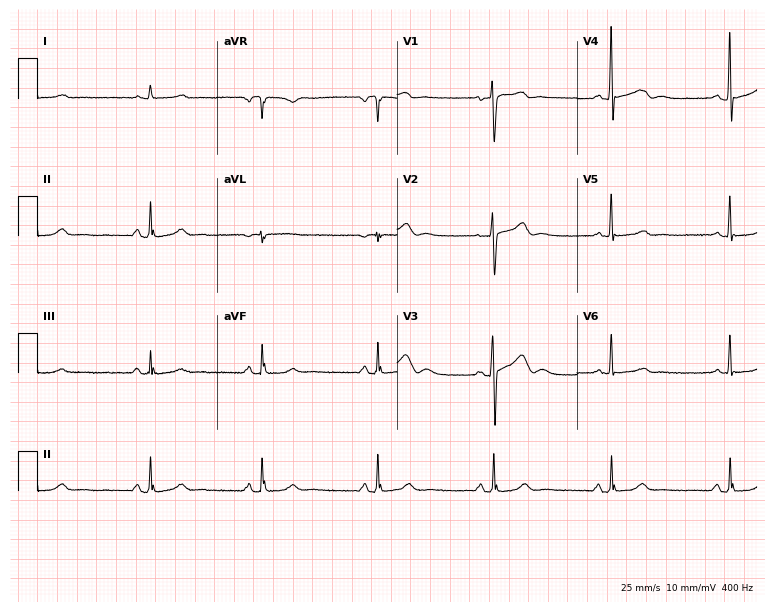
12-lead ECG (7.3-second recording at 400 Hz) from a 63-year-old female patient. Findings include sinus bradycardia (a sinus rate of 50 beats per minute or less).